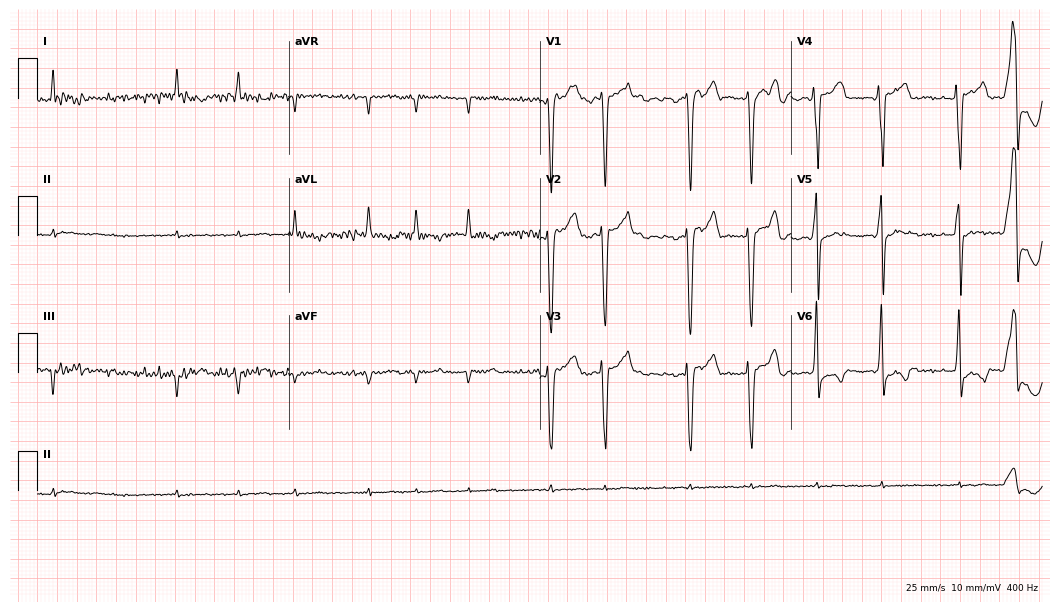
Electrocardiogram (10.2-second recording at 400 Hz), a male, 63 years old. Interpretation includes atrial fibrillation.